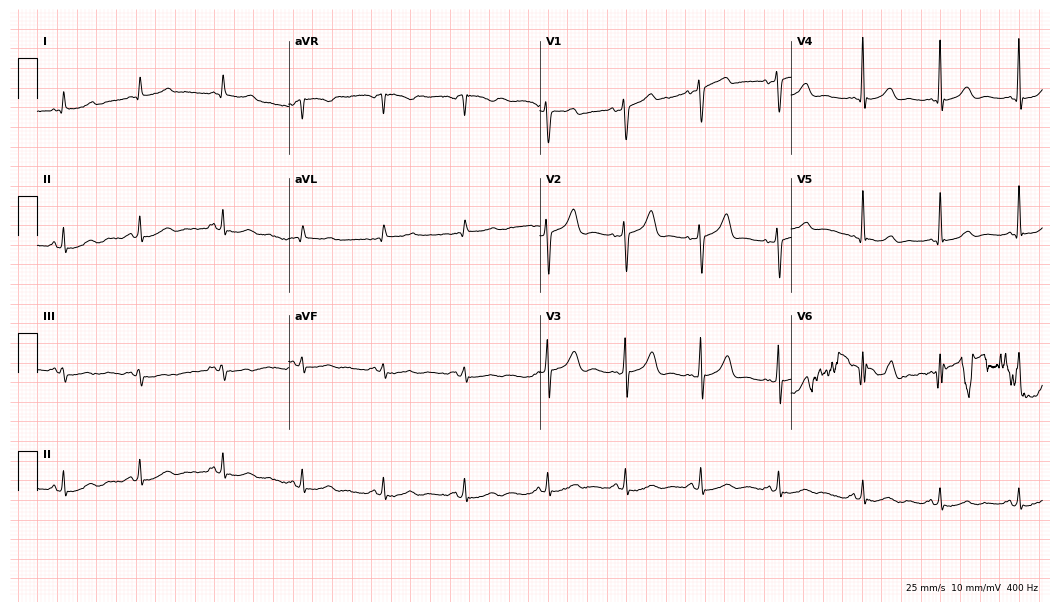
12-lead ECG from a 60-year-old male. Screened for six findings — first-degree AV block, right bundle branch block, left bundle branch block, sinus bradycardia, atrial fibrillation, sinus tachycardia — none is recorded. Other findings, if any, are not listed.